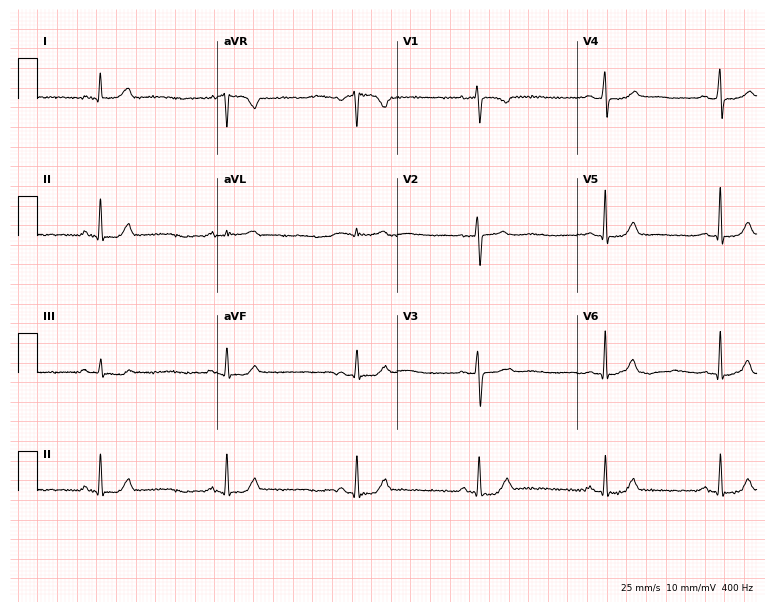
12-lead ECG (7.3-second recording at 400 Hz) from a 52-year-old woman. Findings include sinus bradycardia (a sinus rate of 50 beats per minute or less).